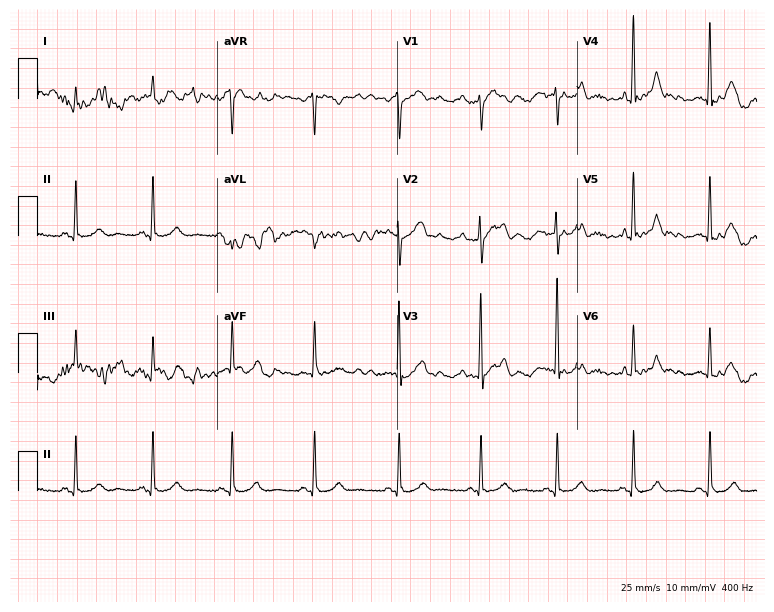
12-lead ECG (7.3-second recording at 400 Hz) from a 59-year-old female patient. Labelled as a normal ECG.